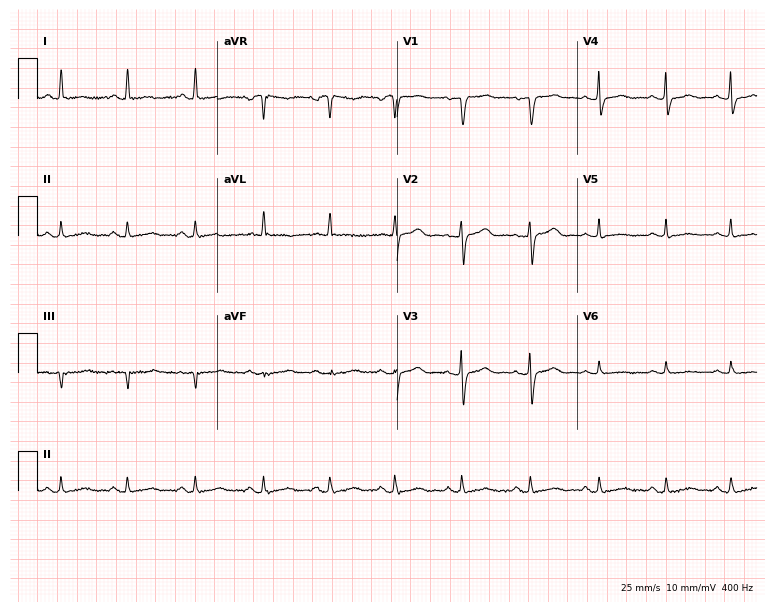
Resting 12-lead electrocardiogram. Patient: a 77-year-old female. Read as a normal ECG.